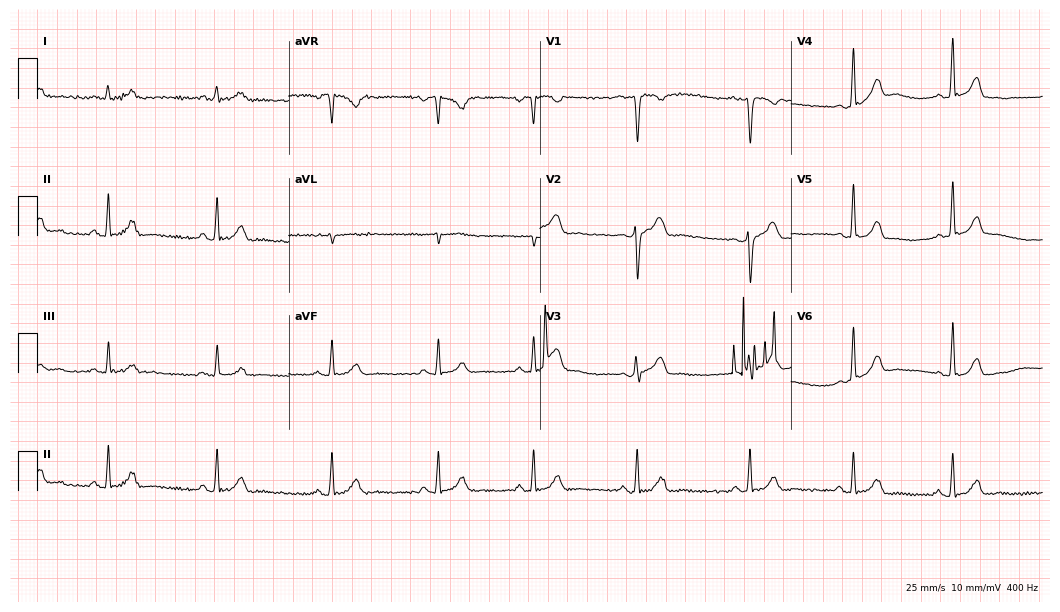
Standard 12-lead ECG recorded from a 32-year-old male patient. Read as a normal ECG.